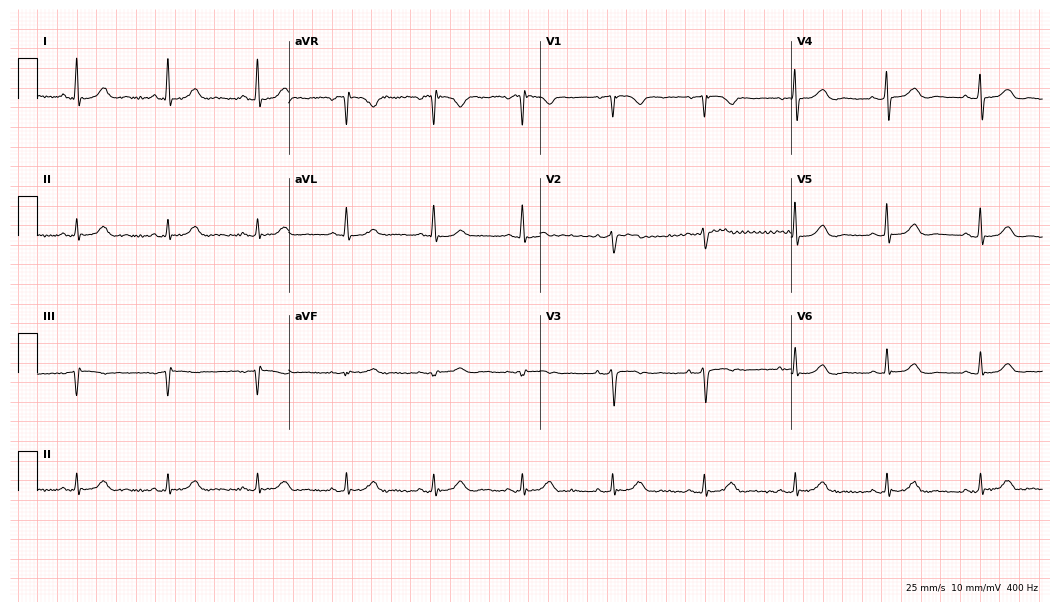
Resting 12-lead electrocardiogram (10.2-second recording at 400 Hz). Patient: a female, 66 years old. Read as a normal ECG.